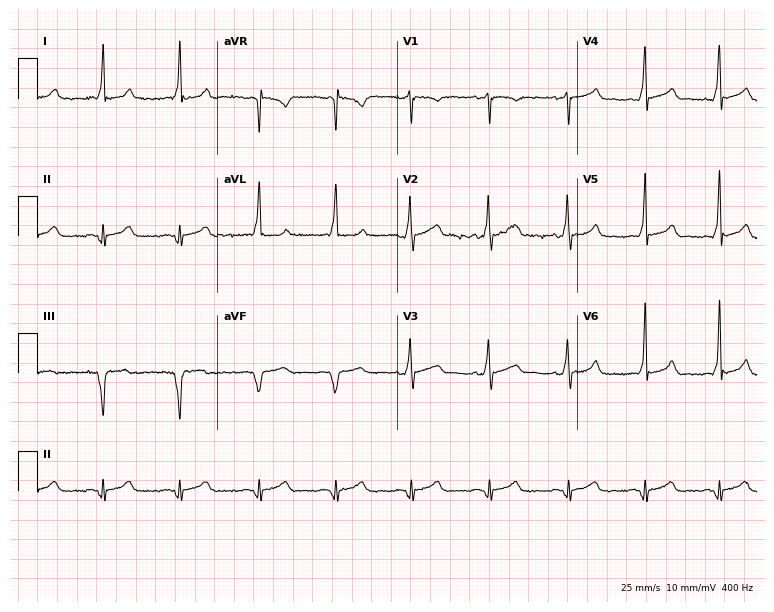
12-lead ECG (7.3-second recording at 400 Hz) from a 34-year-old male. Screened for six findings — first-degree AV block, right bundle branch block, left bundle branch block, sinus bradycardia, atrial fibrillation, sinus tachycardia — none is recorded.